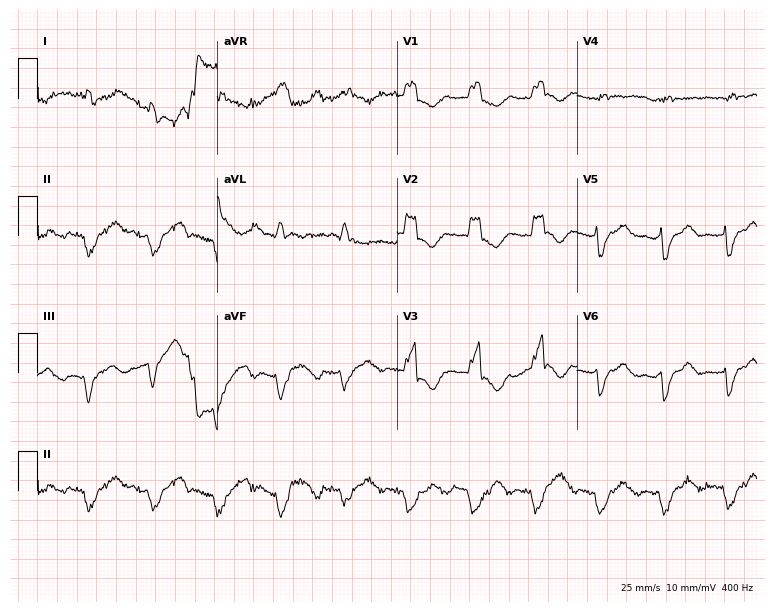
Resting 12-lead electrocardiogram (7.3-second recording at 400 Hz). Patient: a 72-year-old female. None of these six findings is recorded: first-degree AV block, right bundle branch block, left bundle branch block, sinus bradycardia, atrial fibrillation, sinus tachycardia.